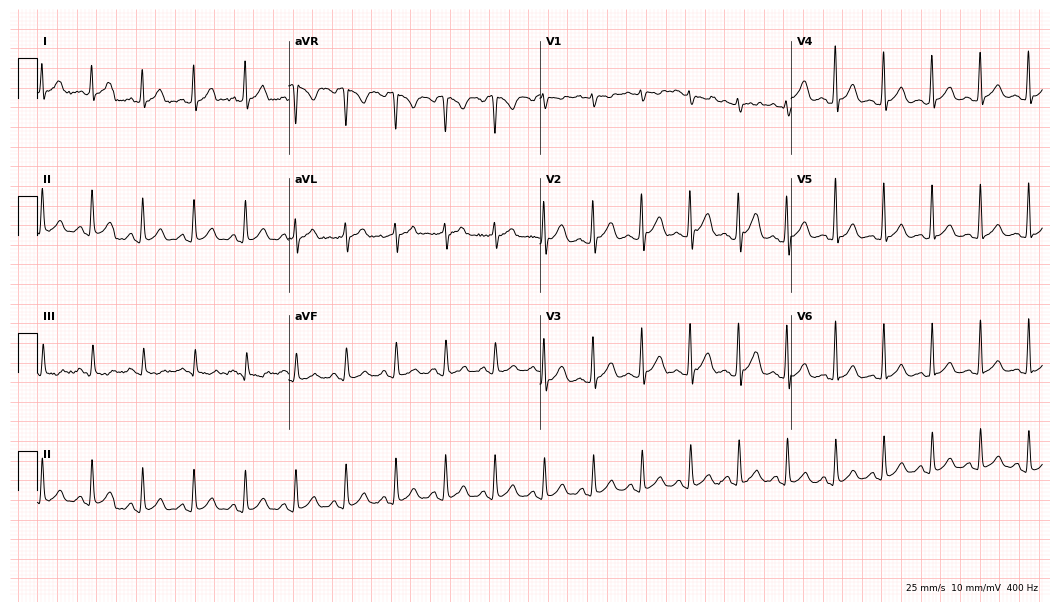
Resting 12-lead electrocardiogram (10.2-second recording at 400 Hz). Patient: a man, 35 years old. The tracing shows sinus tachycardia (a sinus rate of 100 beats per minute or more).